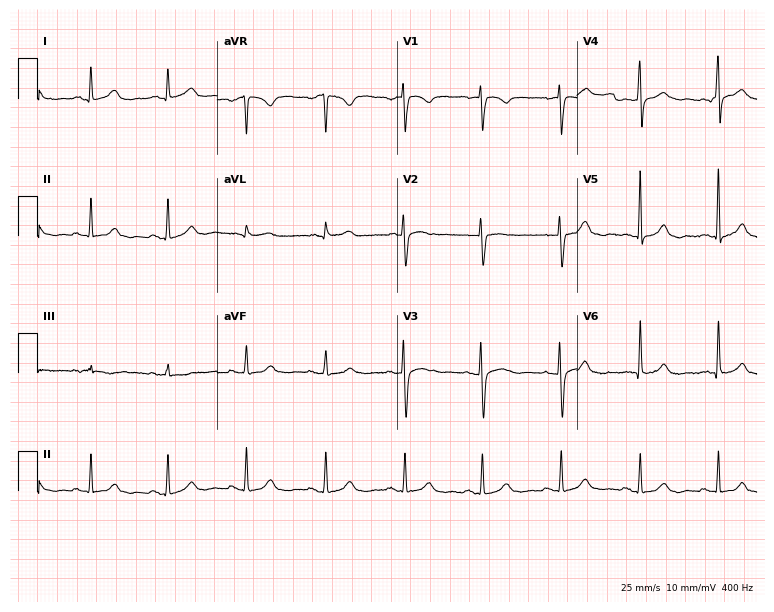
Electrocardiogram, a 51-year-old female patient. Of the six screened findings (first-degree AV block, right bundle branch block (RBBB), left bundle branch block (LBBB), sinus bradycardia, atrial fibrillation (AF), sinus tachycardia), none is recorded. Only these six findings were labelled.